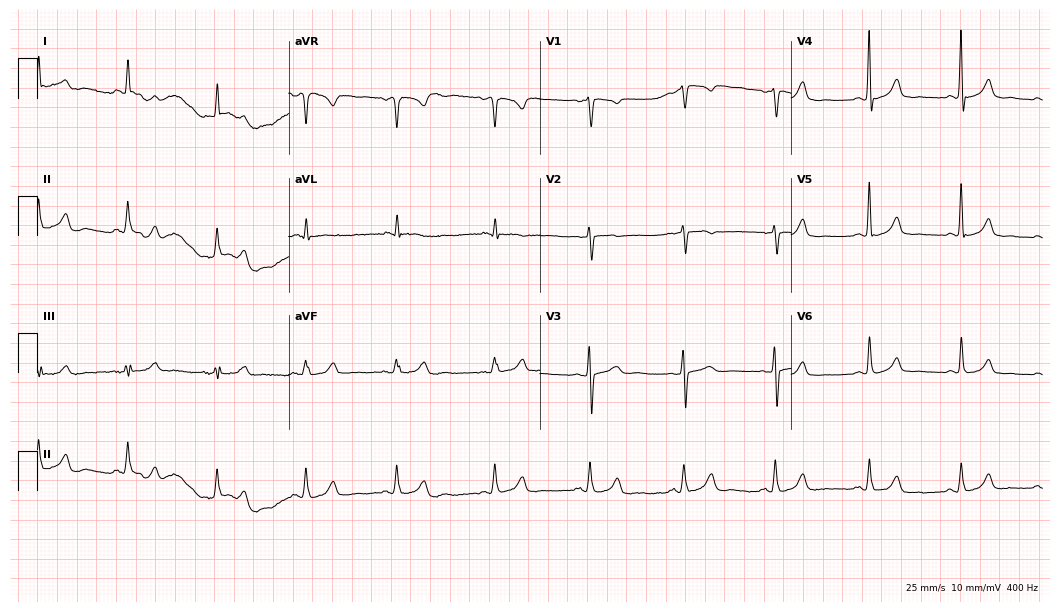
ECG (10.2-second recording at 400 Hz) — a female patient, 84 years old. Labelled as a normal ECG.